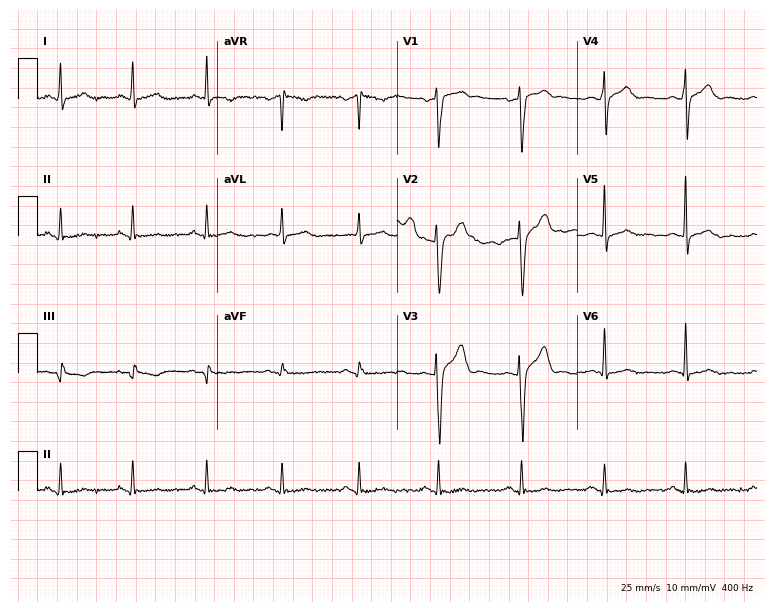
12-lead ECG (7.3-second recording at 400 Hz) from a male patient, 45 years old. Screened for six findings — first-degree AV block, right bundle branch block (RBBB), left bundle branch block (LBBB), sinus bradycardia, atrial fibrillation (AF), sinus tachycardia — none is recorded.